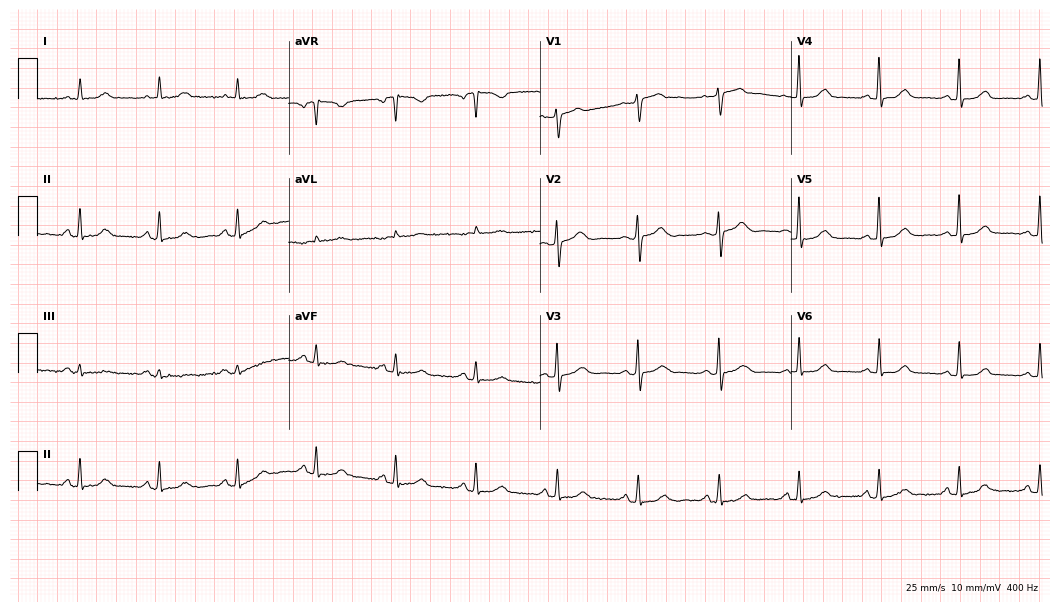
ECG (10.2-second recording at 400 Hz) — a 69-year-old woman. Screened for six findings — first-degree AV block, right bundle branch block, left bundle branch block, sinus bradycardia, atrial fibrillation, sinus tachycardia — none is recorded.